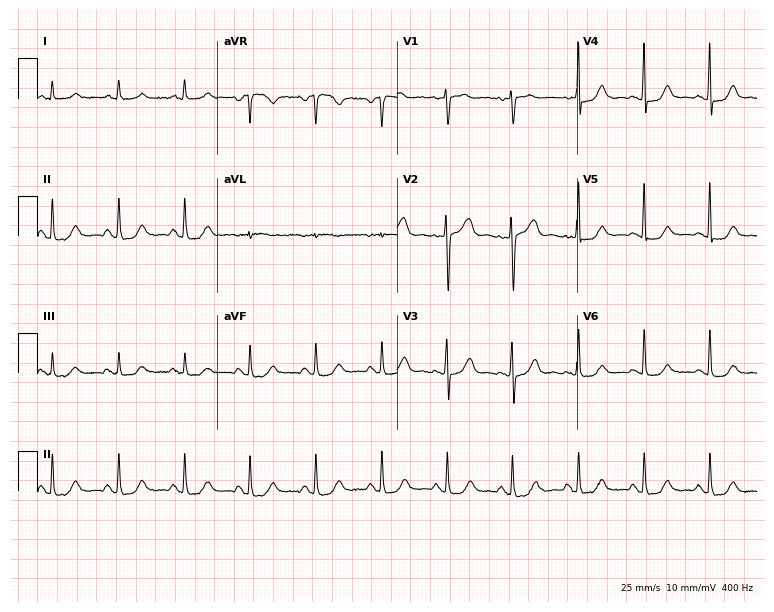
ECG (7.3-second recording at 400 Hz) — a 65-year-old female patient. Screened for six findings — first-degree AV block, right bundle branch block (RBBB), left bundle branch block (LBBB), sinus bradycardia, atrial fibrillation (AF), sinus tachycardia — none is recorded.